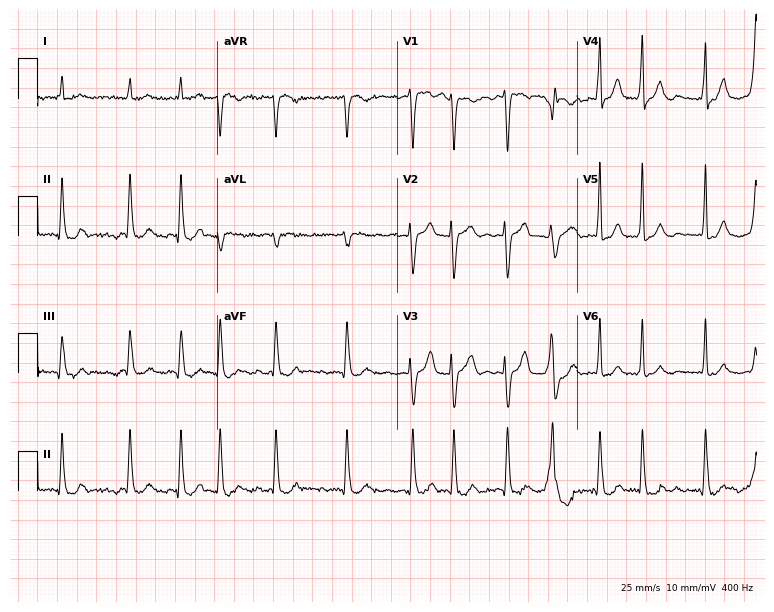
12-lead ECG from an 85-year-old male patient (7.3-second recording at 400 Hz). Shows atrial fibrillation.